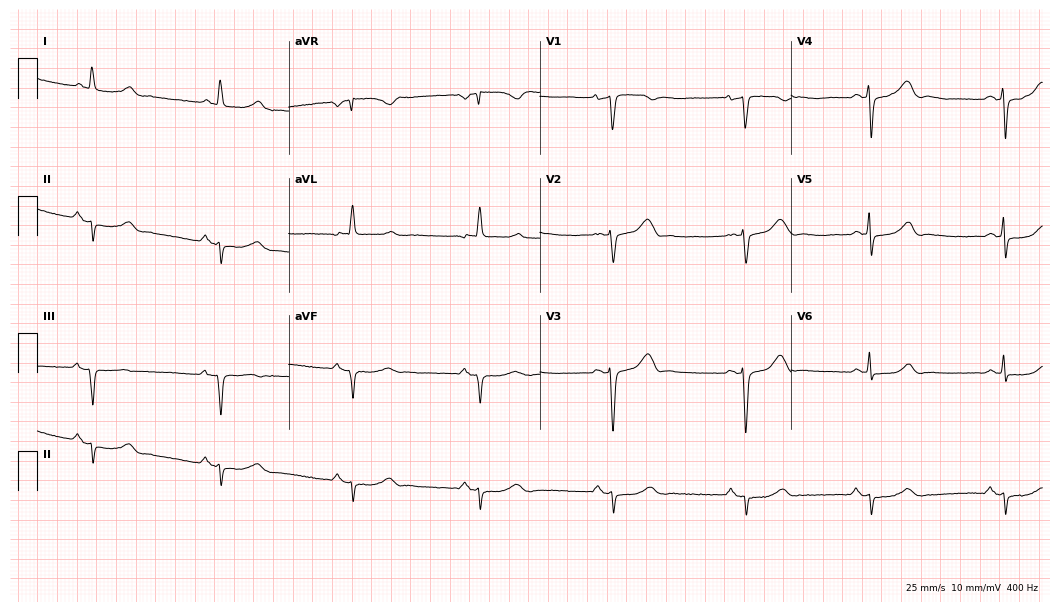
ECG — a 55-year-old female patient. Findings include sinus bradycardia (a sinus rate of 50 beats per minute or less).